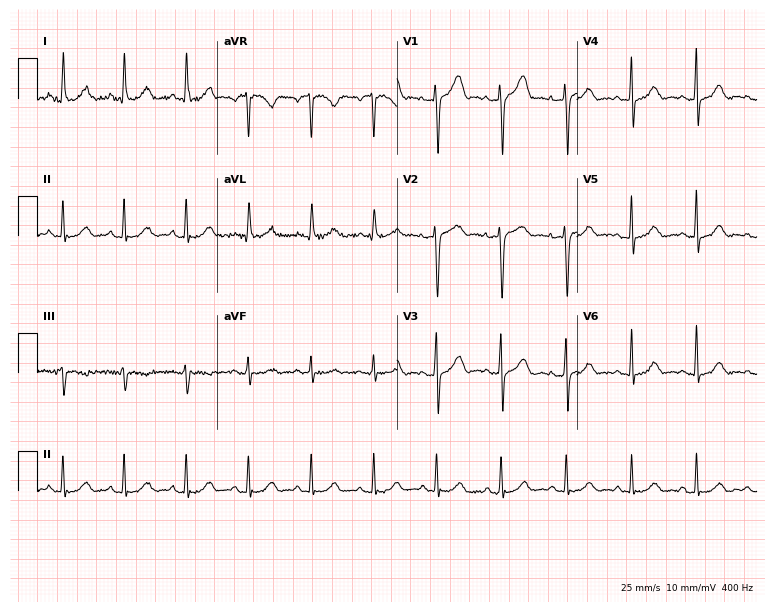
ECG (7.3-second recording at 400 Hz) — a female patient, 56 years old. Screened for six findings — first-degree AV block, right bundle branch block, left bundle branch block, sinus bradycardia, atrial fibrillation, sinus tachycardia — none is recorded.